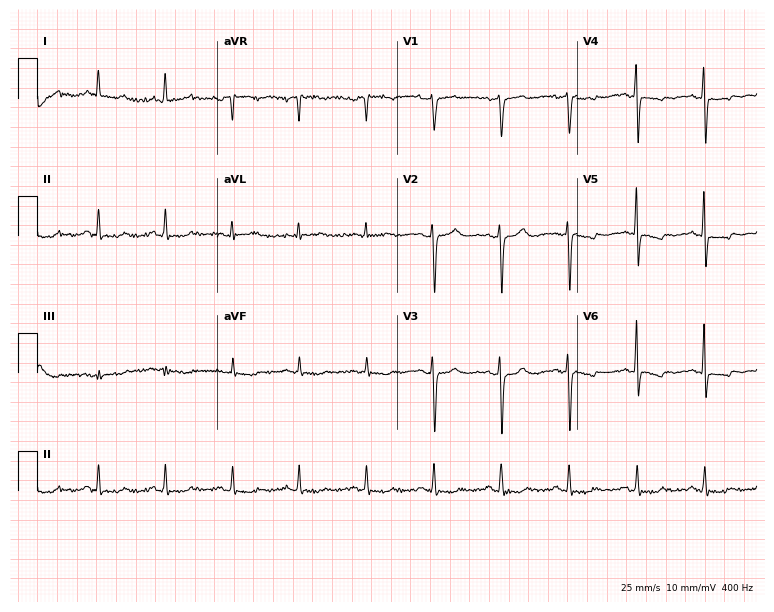
12-lead ECG from a female, 55 years old. No first-degree AV block, right bundle branch block (RBBB), left bundle branch block (LBBB), sinus bradycardia, atrial fibrillation (AF) or sinus tachycardia recorded for this tracing. Other findings, if any, are not listed.